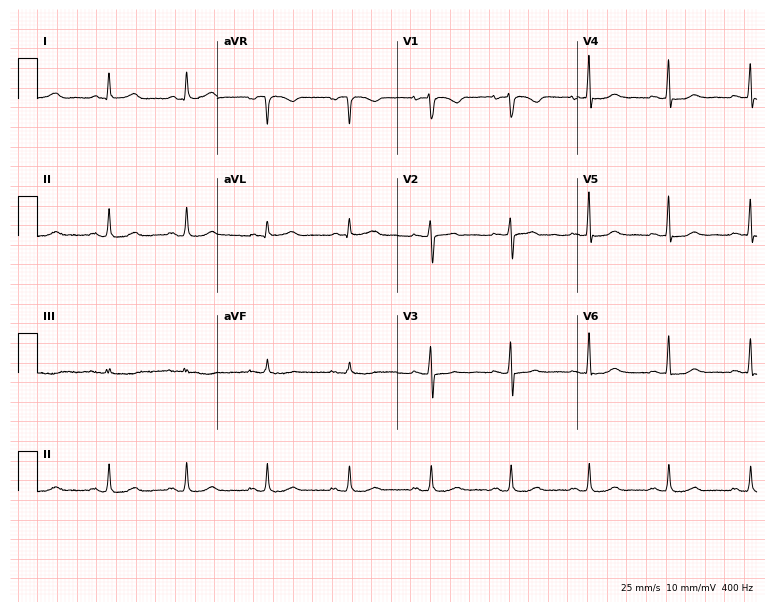
Electrocardiogram (7.3-second recording at 400 Hz), a 65-year-old woman. Of the six screened findings (first-degree AV block, right bundle branch block, left bundle branch block, sinus bradycardia, atrial fibrillation, sinus tachycardia), none is recorded.